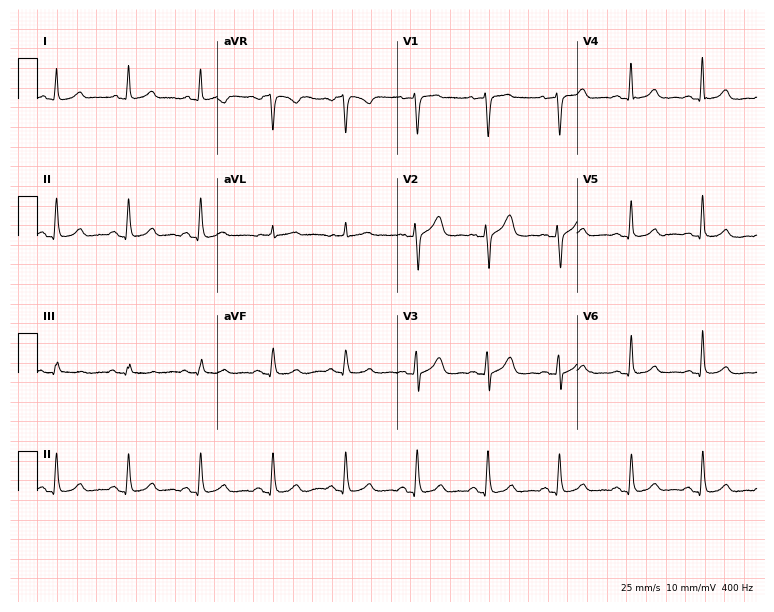
ECG — a female patient, 63 years old. Labelled as a normal ECG.